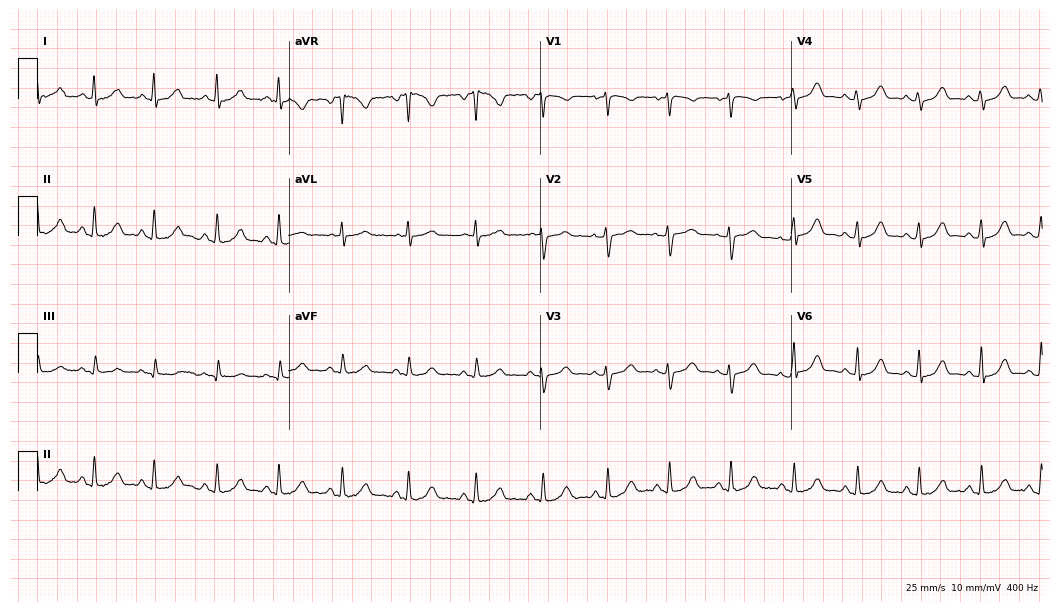
12-lead ECG (10.2-second recording at 400 Hz) from a female patient, 36 years old. Labelled as a normal ECG.